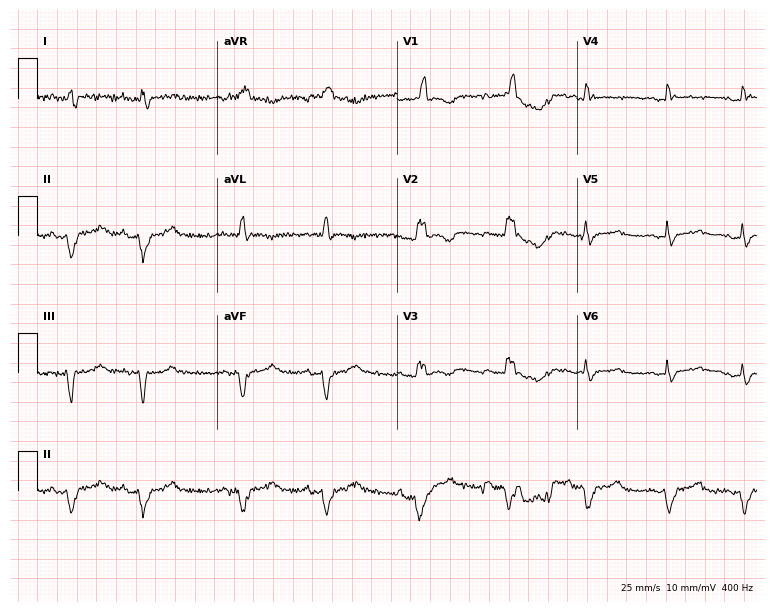
ECG (7.3-second recording at 400 Hz) — a 72-year-old woman. Screened for six findings — first-degree AV block, right bundle branch block (RBBB), left bundle branch block (LBBB), sinus bradycardia, atrial fibrillation (AF), sinus tachycardia — none is recorded.